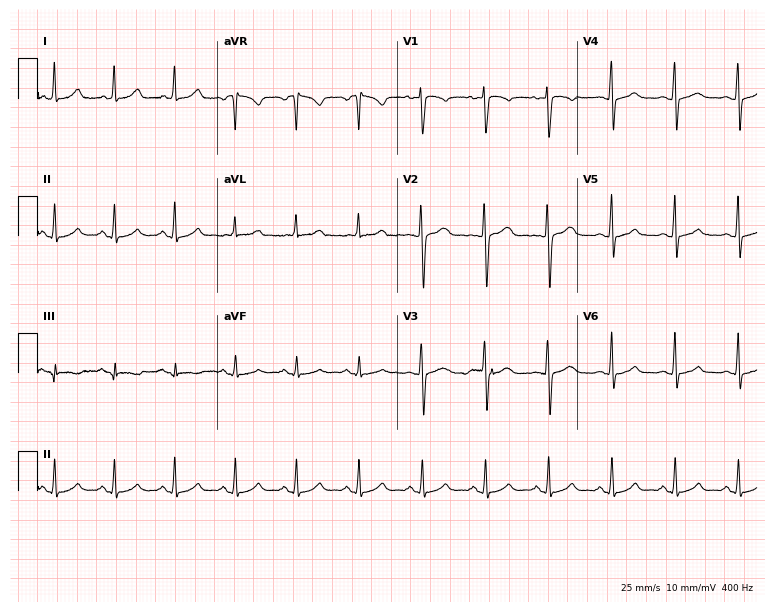
Electrocardiogram, a female, 33 years old. Of the six screened findings (first-degree AV block, right bundle branch block, left bundle branch block, sinus bradycardia, atrial fibrillation, sinus tachycardia), none is recorded. Other findings, if any, are not listed.